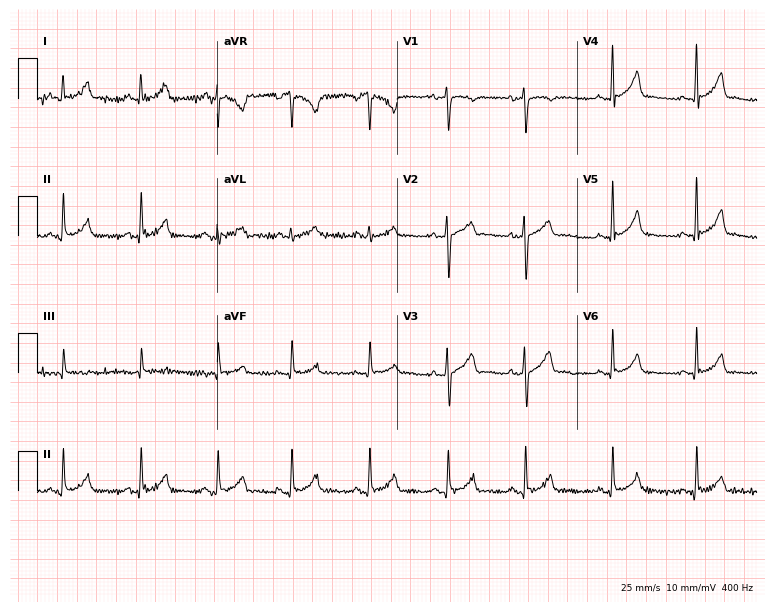
Standard 12-lead ECG recorded from a female patient, 31 years old. Read as a normal ECG.